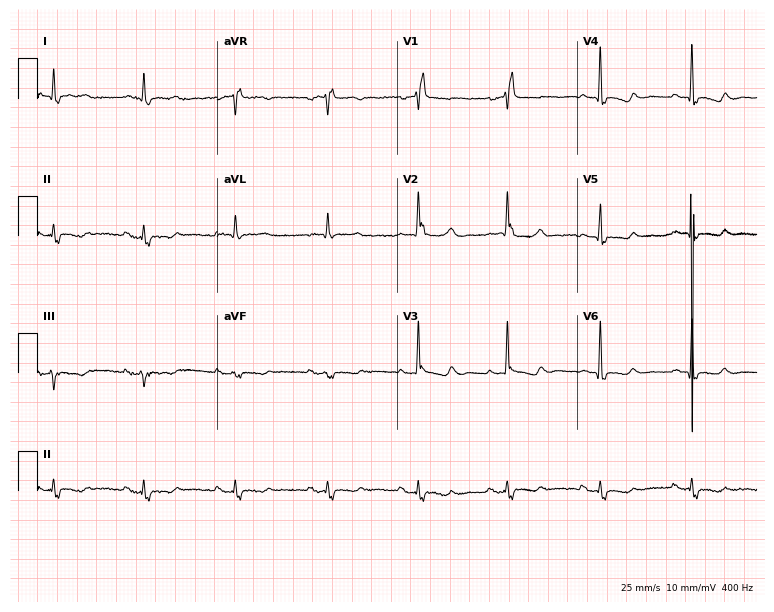
Electrocardiogram, a female patient, 77 years old. Of the six screened findings (first-degree AV block, right bundle branch block, left bundle branch block, sinus bradycardia, atrial fibrillation, sinus tachycardia), none is recorded. Findings outside these six are not listed.